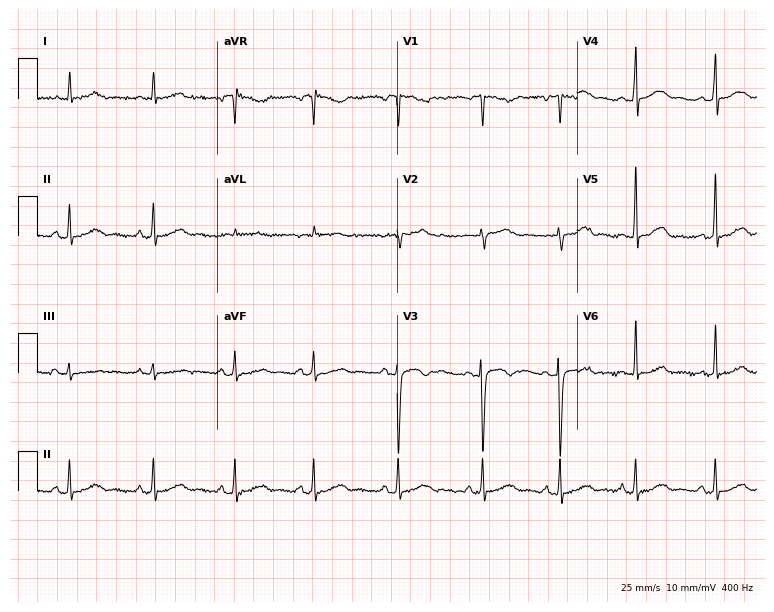
Resting 12-lead electrocardiogram. Patient: a 33-year-old female. None of these six findings is recorded: first-degree AV block, right bundle branch block, left bundle branch block, sinus bradycardia, atrial fibrillation, sinus tachycardia. Only these six findings were labelled.